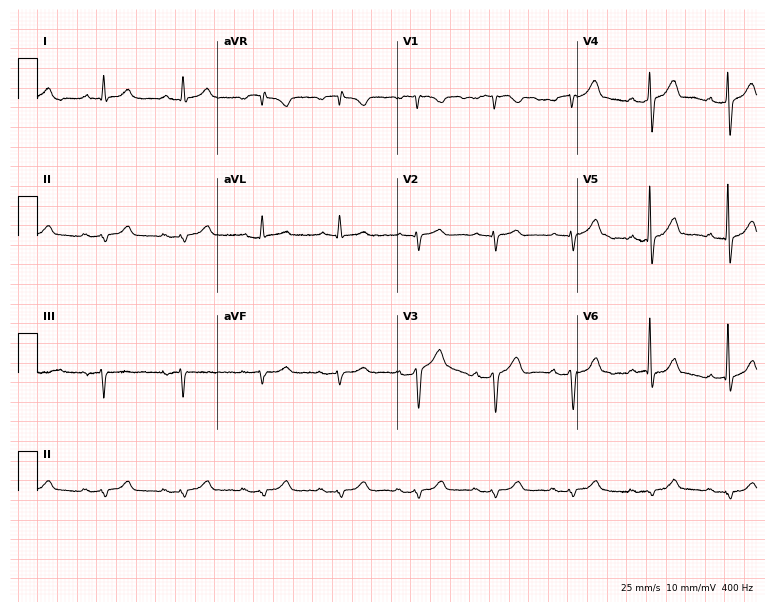
Resting 12-lead electrocardiogram. Patient: a male, 51 years old. None of these six findings is recorded: first-degree AV block, right bundle branch block (RBBB), left bundle branch block (LBBB), sinus bradycardia, atrial fibrillation (AF), sinus tachycardia.